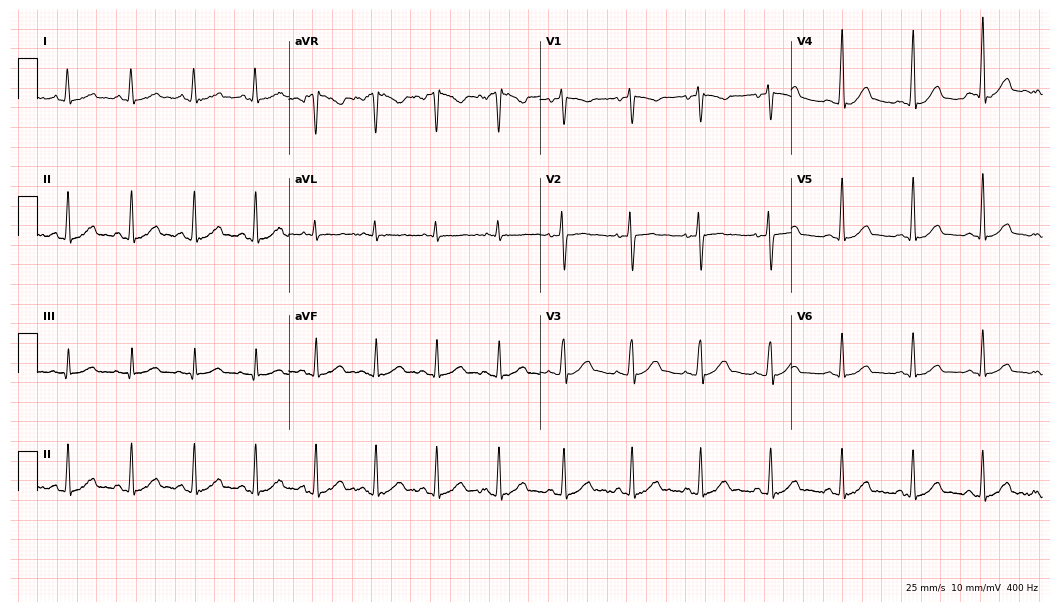
12-lead ECG from a 31-year-old female. Recorded interpretation: within normal limits.